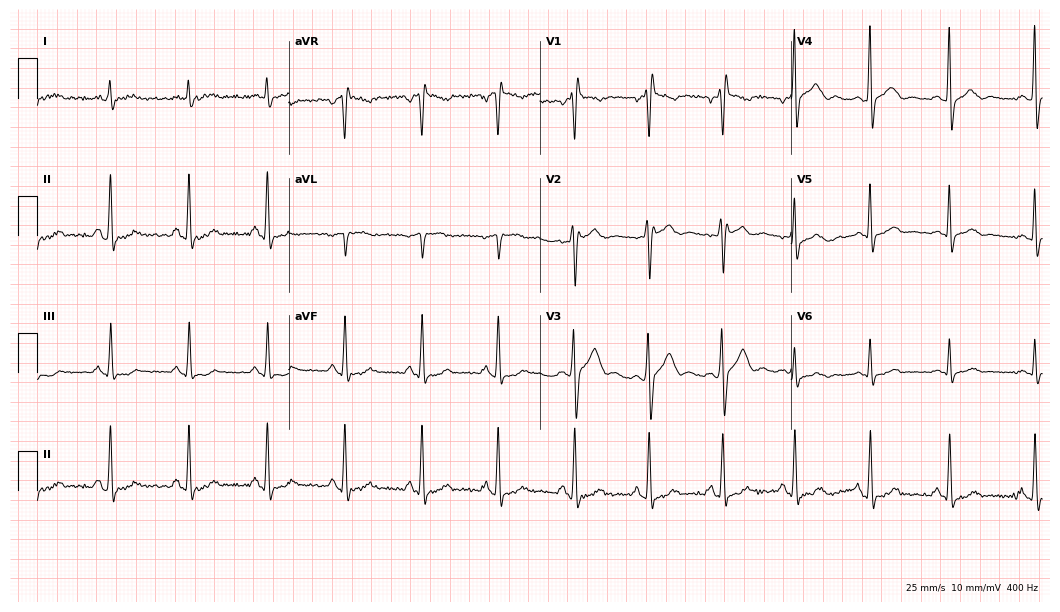
12-lead ECG (10.2-second recording at 400 Hz) from a man, 28 years old. Screened for six findings — first-degree AV block, right bundle branch block (RBBB), left bundle branch block (LBBB), sinus bradycardia, atrial fibrillation (AF), sinus tachycardia — none is recorded.